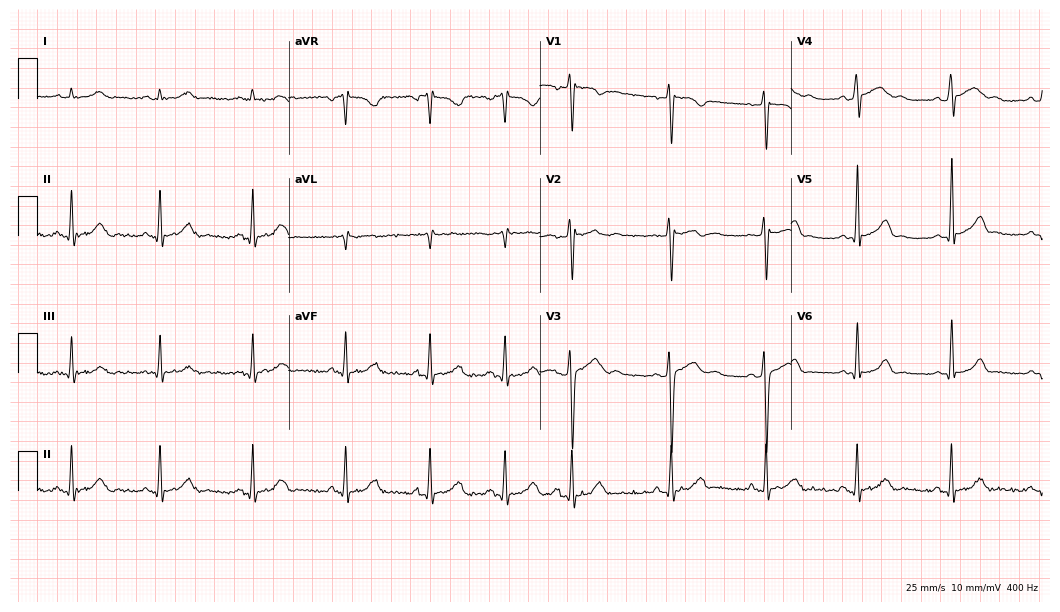
ECG (10.2-second recording at 400 Hz) — an 18-year-old male. Labelled as a normal ECG.